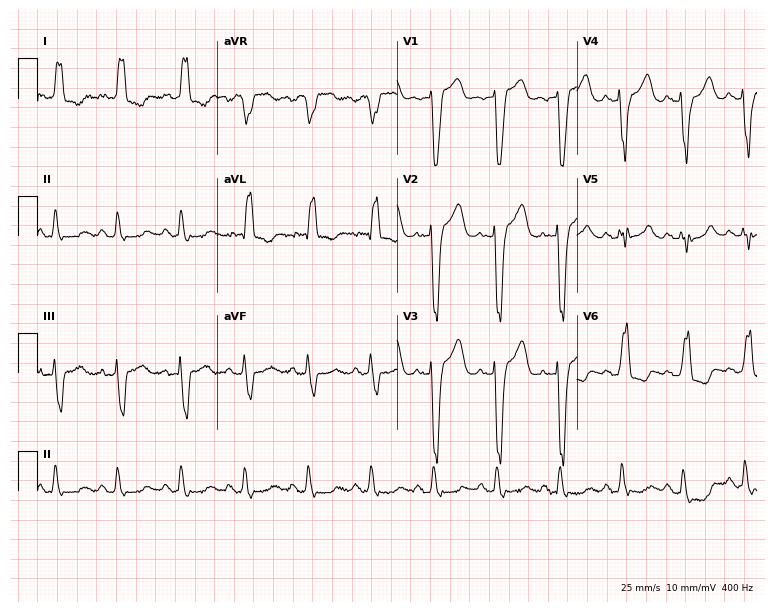
12-lead ECG from a female patient, 81 years old (7.3-second recording at 400 Hz). Shows left bundle branch block.